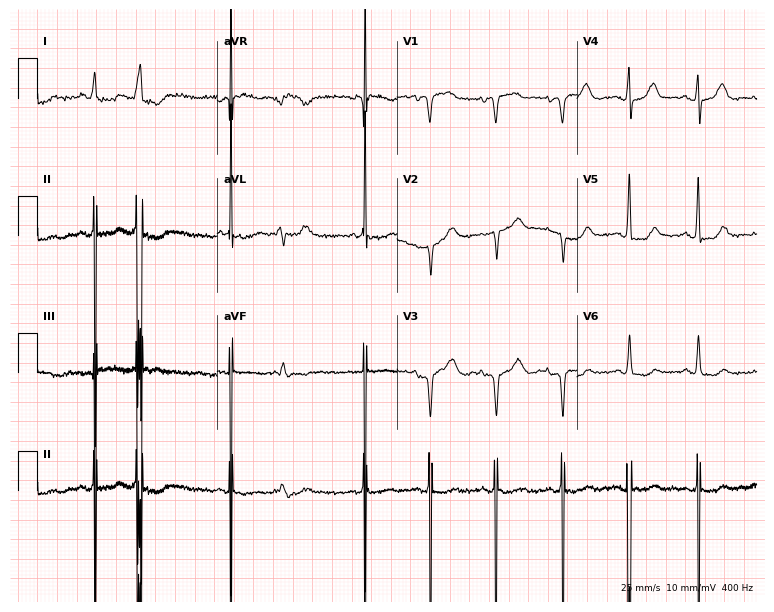
12-lead ECG (7.3-second recording at 400 Hz) from an 82-year-old female. Screened for six findings — first-degree AV block, right bundle branch block, left bundle branch block, sinus bradycardia, atrial fibrillation, sinus tachycardia — none is recorded. Other findings, if any, are not listed.